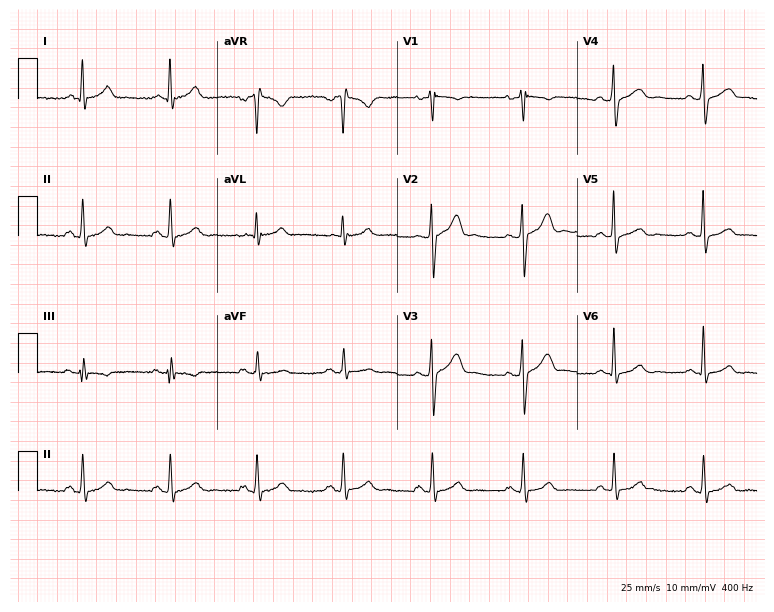
12-lead ECG from a male, 50 years old. Recorded interpretation: within normal limits.